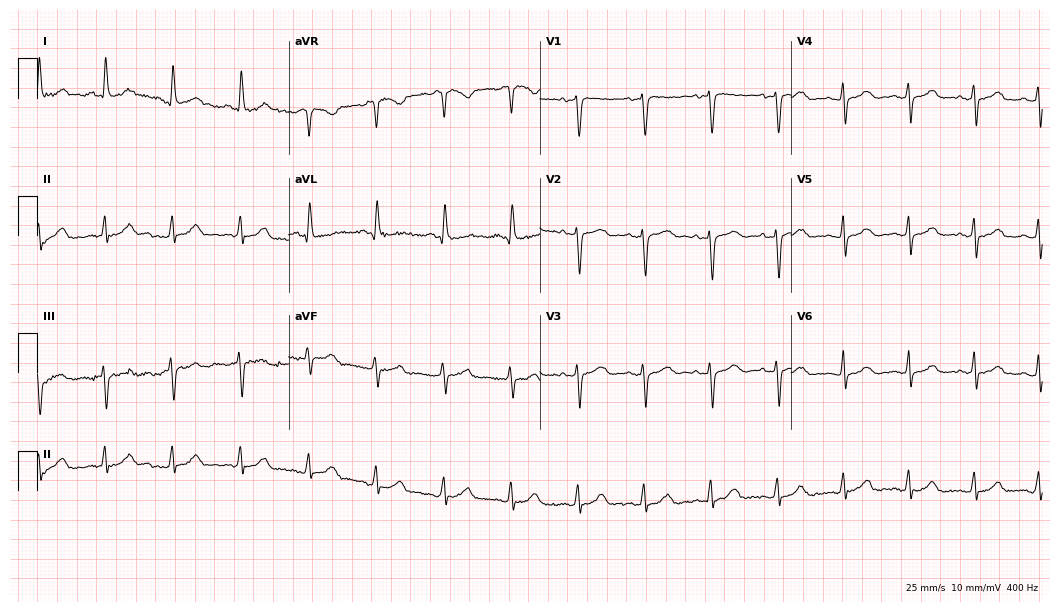
12-lead ECG from a female patient, 61 years old. Recorded interpretation: within normal limits.